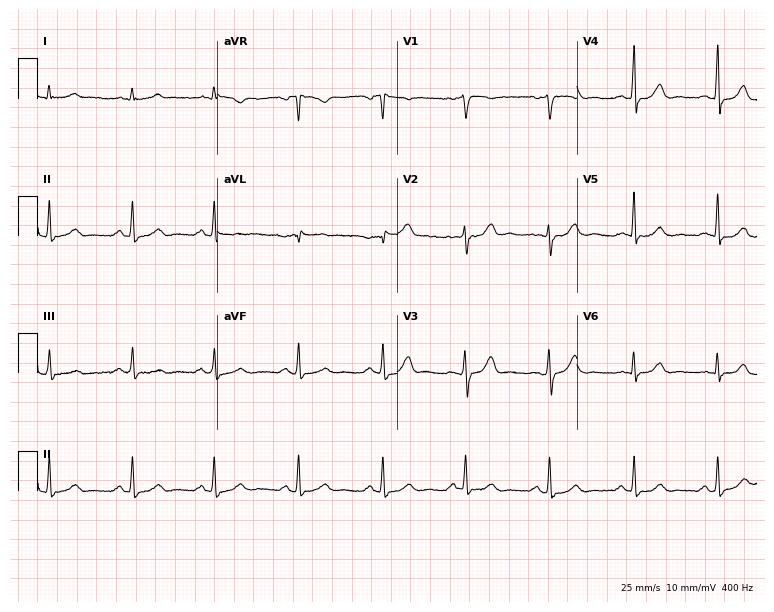
Electrocardiogram (7.3-second recording at 400 Hz), a 44-year-old woman. Overall reading on record: normal ECG.